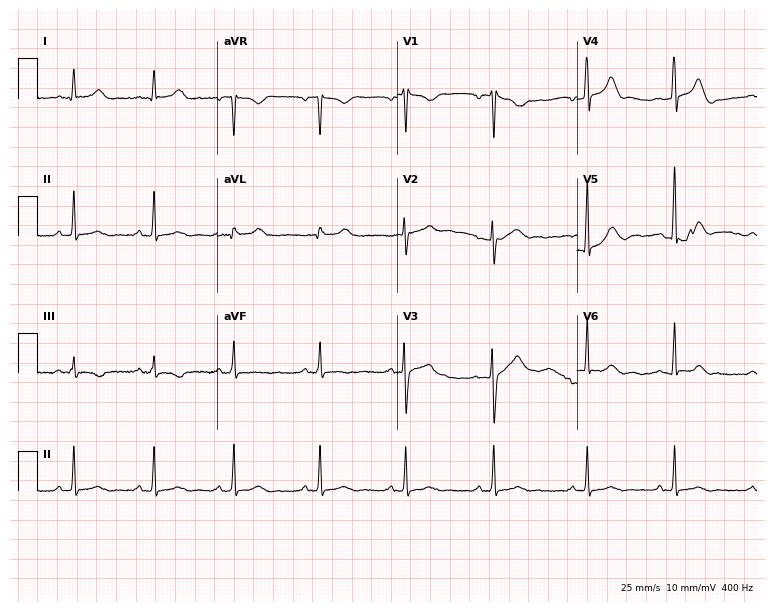
12-lead ECG (7.3-second recording at 400 Hz) from a 35-year-old woman. Screened for six findings — first-degree AV block, right bundle branch block (RBBB), left bundle branch block (LBBB), sinus bradycardia, atrial fibrillation (AF), sinus tachycardia — none is recorded. Only these six findings were labelled.